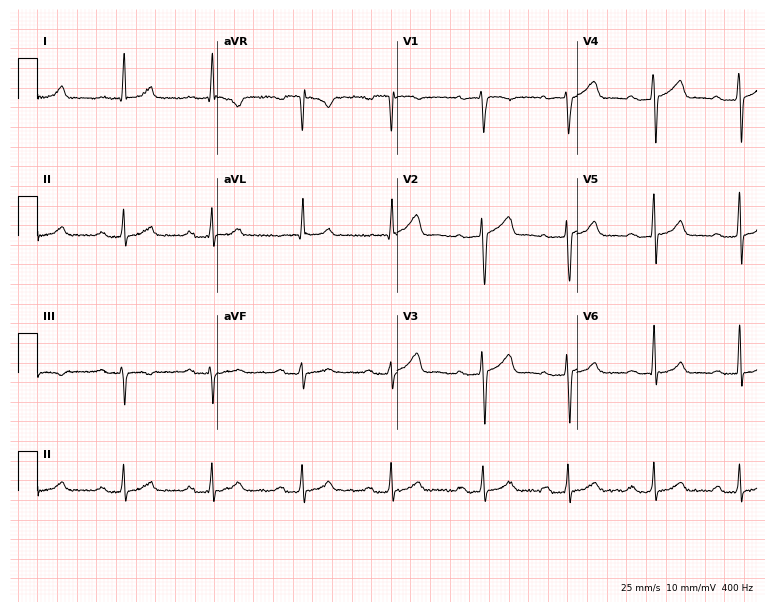
Electrocardiogram, a male, 34 years old. Interpretation includes first-degree AV block.